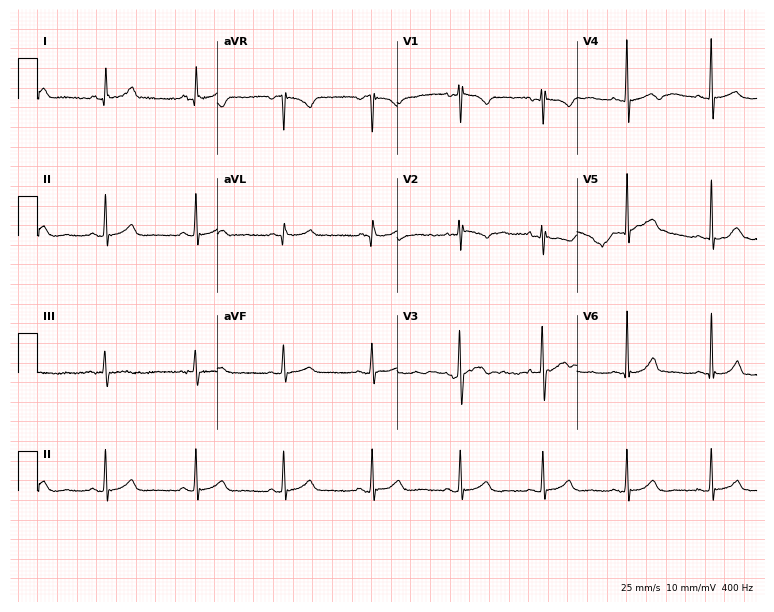
Standard 12-lead ECG recorded from a 48-year-old woman (7.3-second recording at 400 Hz). Read as a normal ECG.